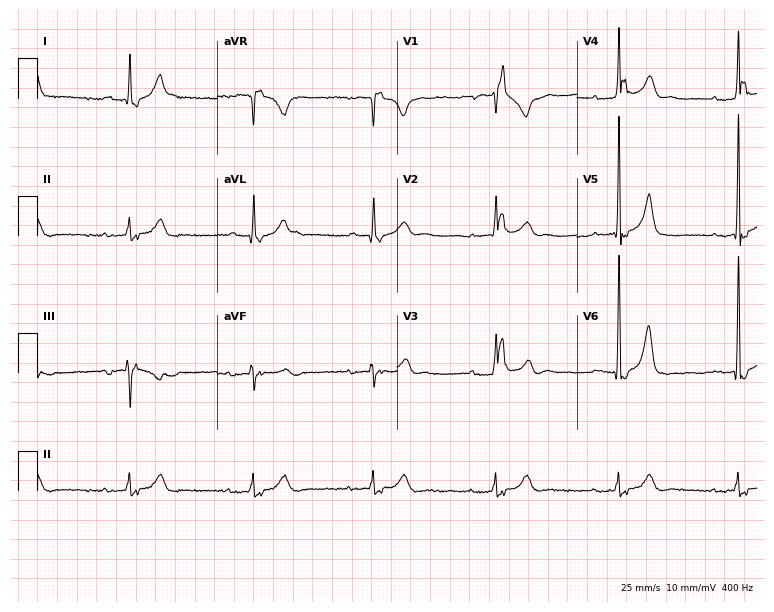
Resting 12-lead electrocardiogram. Patient: a male, 77 years old. The tracing shows right bundle branch block.